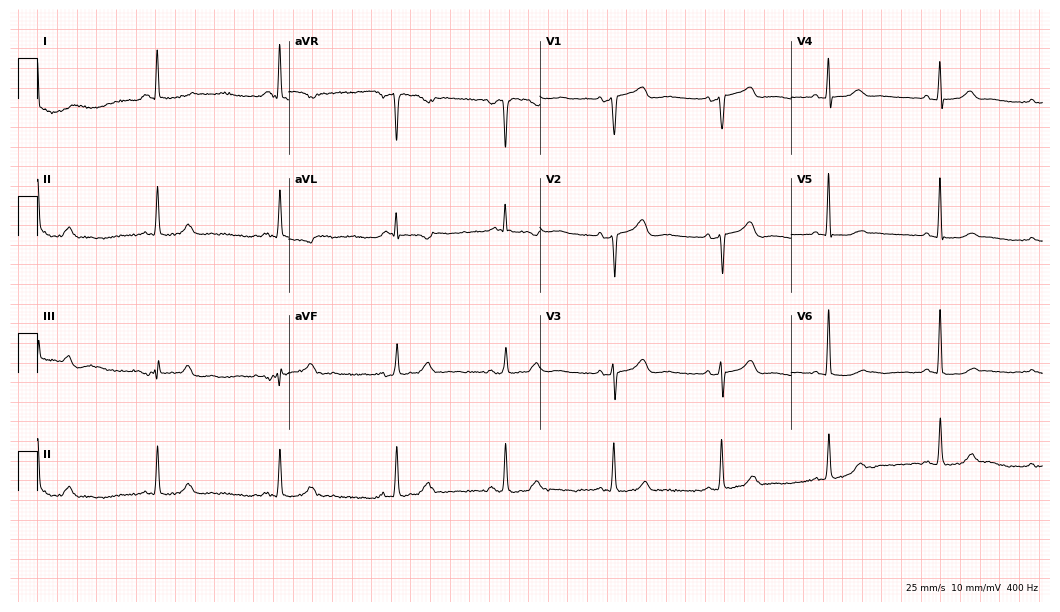
ECG — a female patient, 75 years old. Screened for six findings — first-degree AV block, right bundle branch block, left bundle branch block, sinus bradycardia, atrial fibrillation, sinus tachycardia — none is recorded.